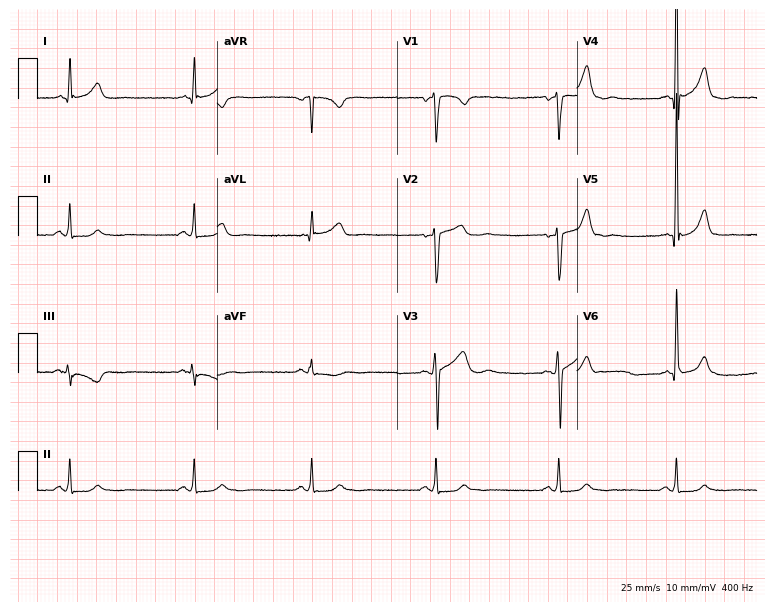
Electrocardiogram (7.3-second recording at 400 Hz), a 47-year-old female. Interpretation includes sinus bradycardia (a sinus rate of 50 beats per minute or less).